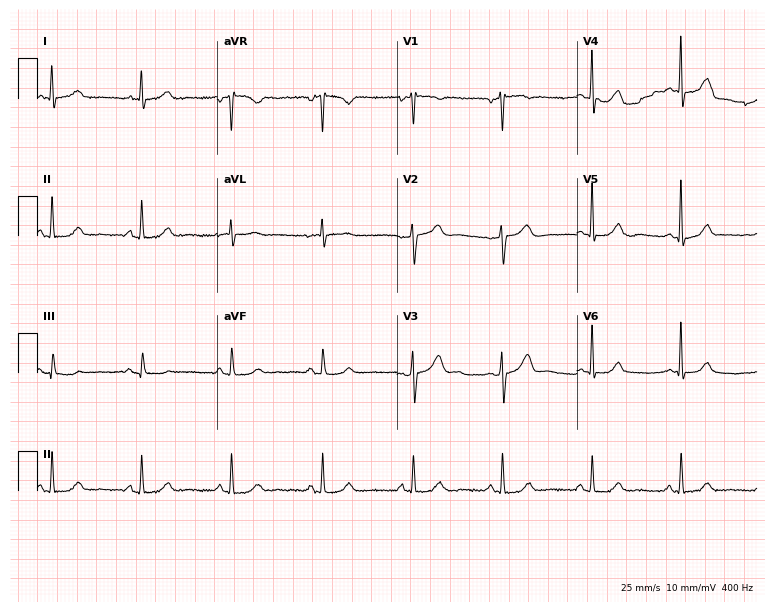
Standard 12-lead ECG recorded from a 48-year-old woman. None of these six findings is recorded: first-degree AV block, right bundle branch block, left bundle branch block, sinus bradycardia, atrial fibrillation, sinus tachycardia.